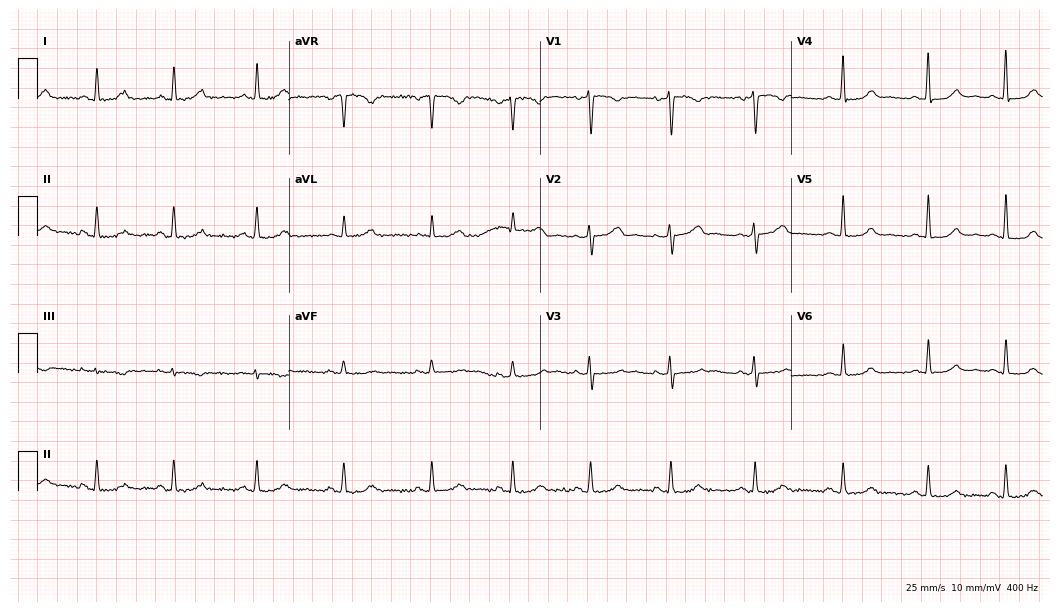
Standard 12-lead ECG recorded from a woman, 49 years old (10.2-second recording at 400 Hz). Read as a normal ECG.